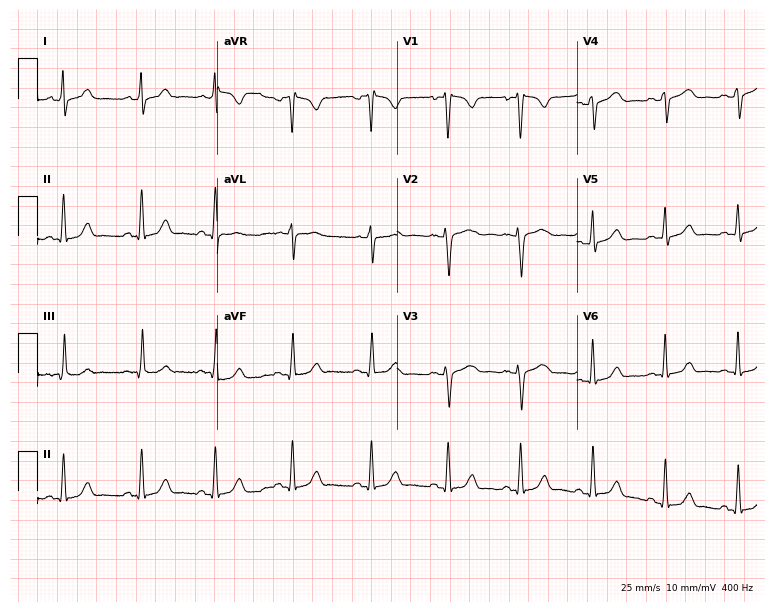
Standard 12-lead ECG recorded from a woman, 27 years old. Read as a normal ECG.